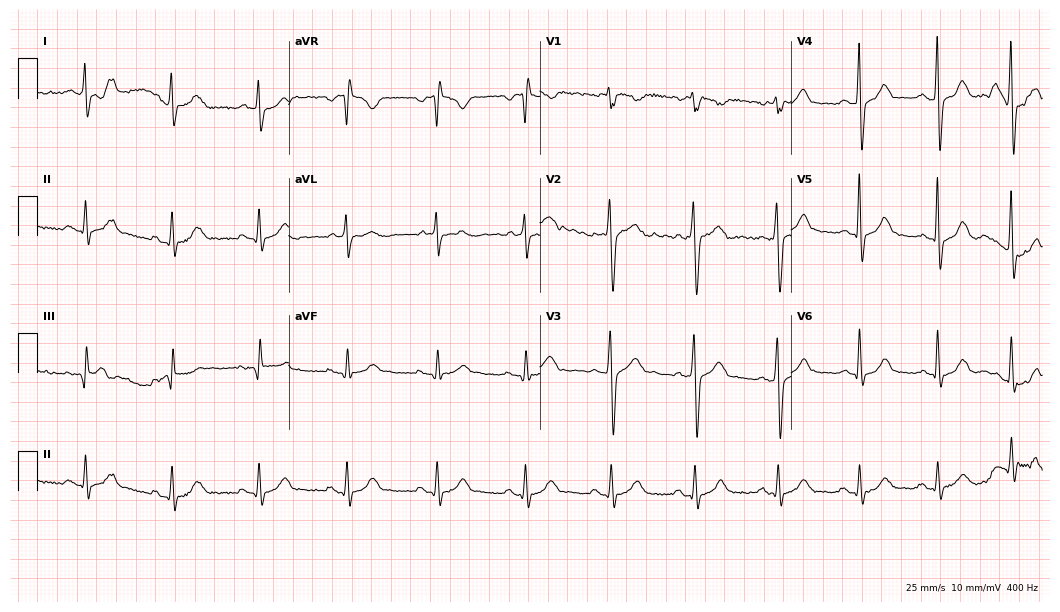
12-lead ECG from a male, 25 years old (10.2-second recording at 400 Hz). No first-degree AV block, right bundle branch block (RBBB), left bundle branch block (LBBB), sinus bradycardia, atrial fibrillation (AF) or sinus tachycardia recorded for this tracing. Other findings, if any, are not listed.